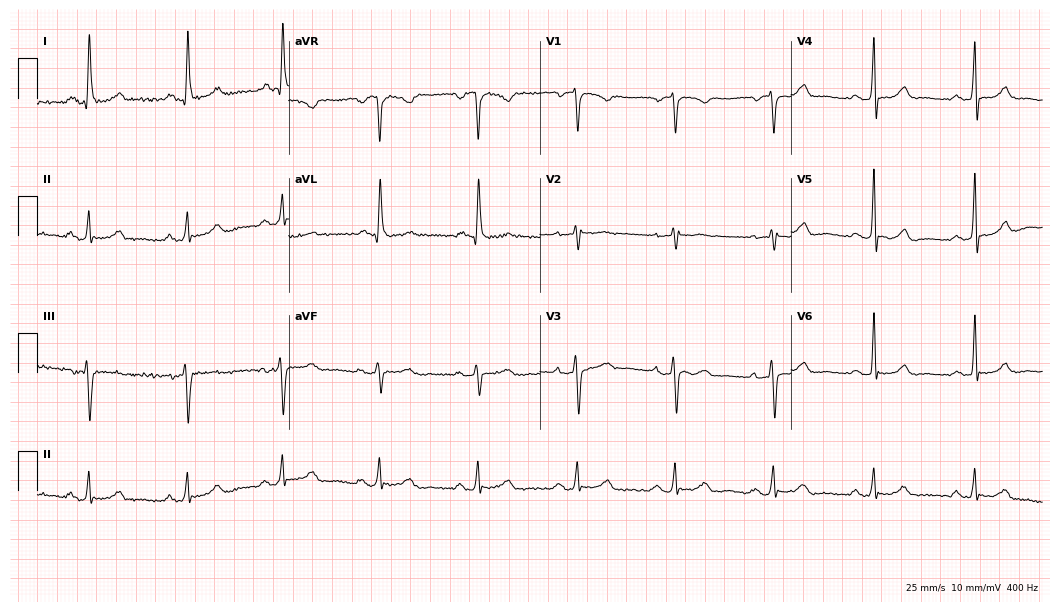
Standard 12-lead ECG recorded from a 61-year-old female patient (10.2-second recording at 400 Hz). None of these six findings is recorded: first-degree AV block, right bundle branch block (RBBB), left bundle branch block (LBBB), sinus bradycardia, atrial fibrillation (AF), sinus tachycardia.